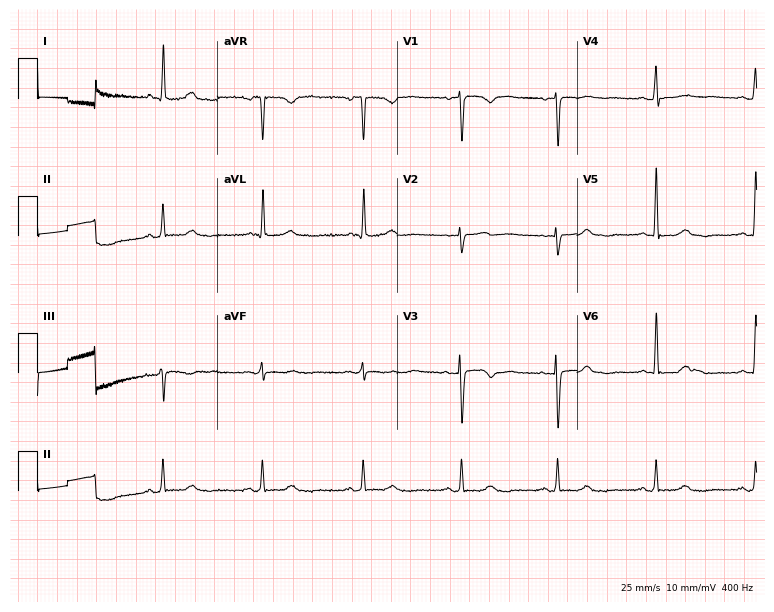
12-lead ECG from a female, 63 years old. Screened for six findings — first-degree AV block, right bundle branch block, left bundle branch block, sinus bradycardia, atrial fibrillation, sinus tachycardia — none is recorded.